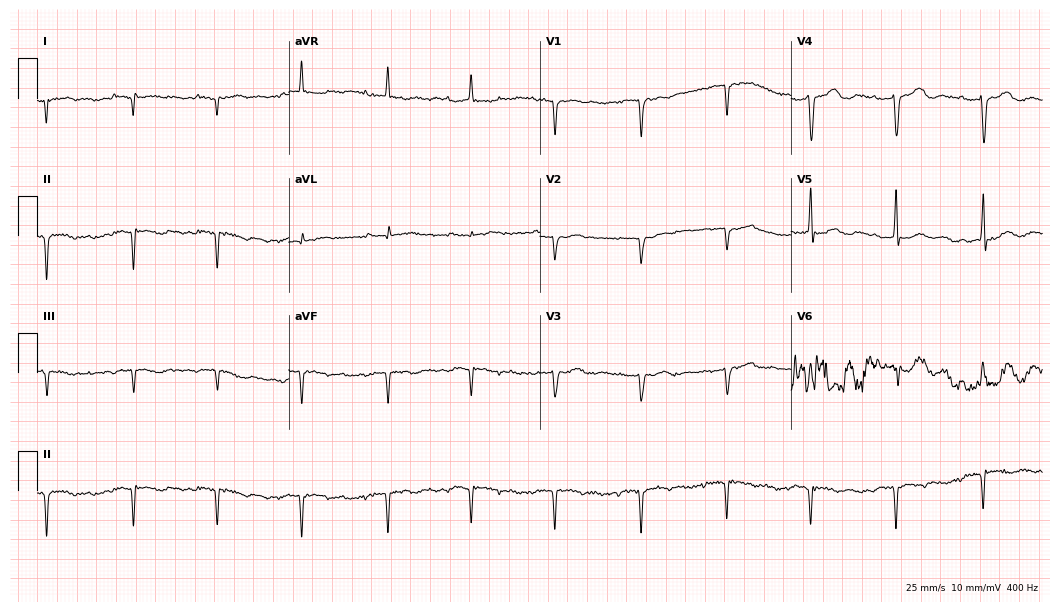
Resting 12-lead electrocardiogram (10.2-second recording at 400 Hz). Patient: a 72-year-old female. None of these six findings is recorded: first-degree AV block, right bundle branch block, left bundle branch block, sinus bradycardia, atrial fibrillation, sinus tachycardia. Only these six findings were labelled.